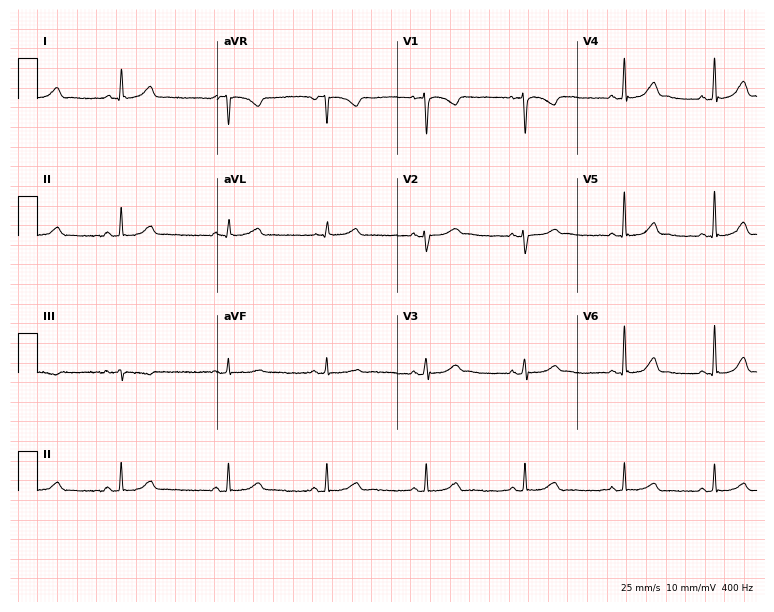
Resting 12-lead electrocardiogram (7.3-second recording at 400 Hz). Patient: a female, 26 years old. Read as a normal ECG.